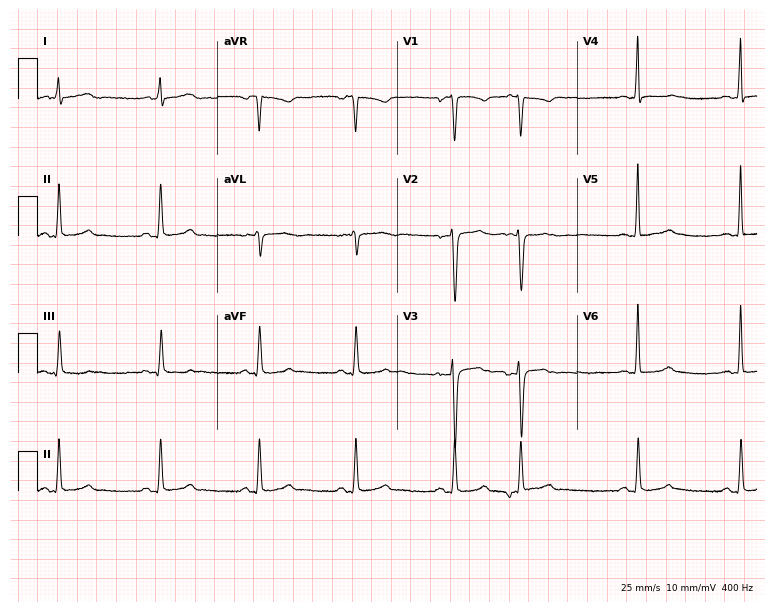
Electrocardiogram, a 34-year-old woman. Of the six screened findings (first-degree AV block, right bundle branch block (RBBB), left bundle branch block (LBBB), sinus bradycardia, atrial fibrillation (AF), sinus tachycardia), none is recorded. Findings outside these six are not listed.